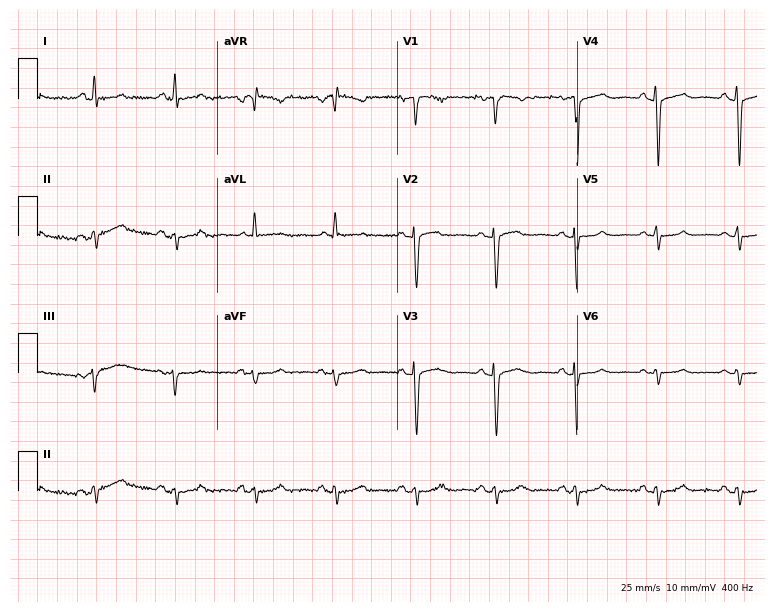
Electrocardiogram, a male, 73 years old. Of the six screened findings (first-degree AV block, right bundle branch block, left bundle branch block, sinus bradycardia, atrial fibrillation, sinus tachycardia), none is recorded. Other findings, if any, are not listed.